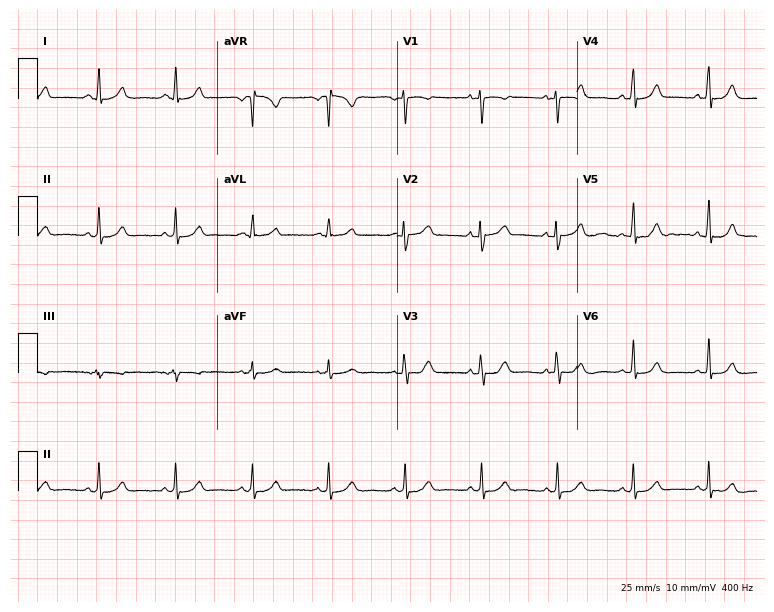
12-lead ECG (7.3-second recording at 400 Hz) from a woman, 38 years old. Screened for six findings — first-degree AV block, right bundle branch block, left bundle branch block, sinus bradycardia, atrial fibrillation, sinus tachycardia — none is recorded.